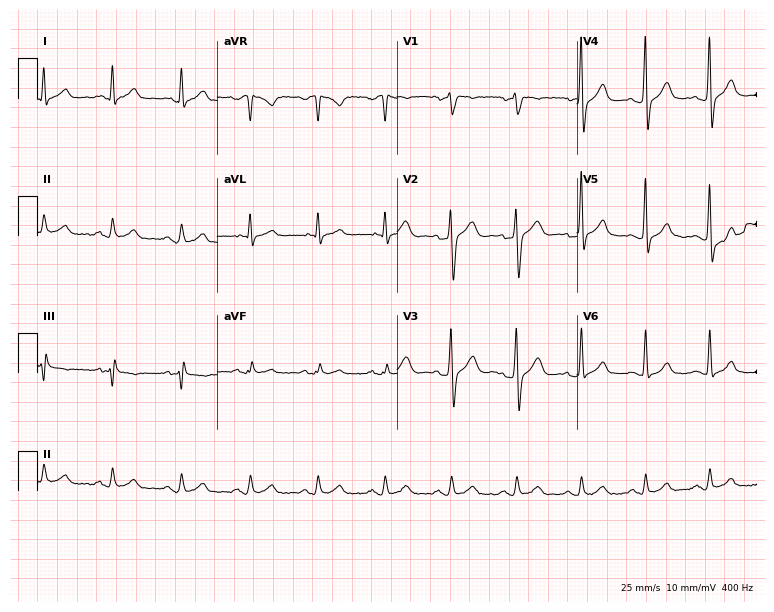
ECG — a male, 46 years old. Screened for six findings — first-degree AV block, right bundle branch block, left bundle branch block, sinus bradycardia, atrial fibrillation, sinus tachycardia — none is recorded.